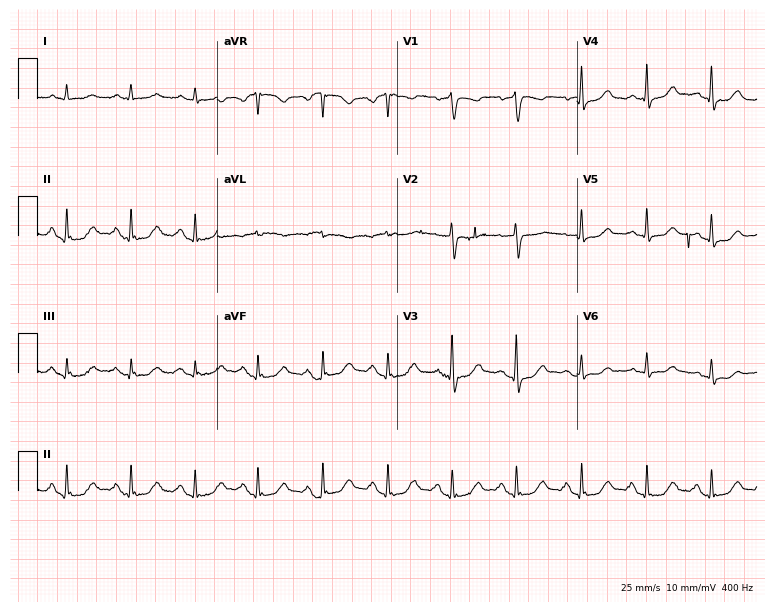
ECG (7.3-second recording at 400 Hz) — an 80-year-old female patient. Screened for six findings — first-degree AV block, right bundle branch block (RBBB), left bundle branch block (LBBB), sinus bradycardia, atrial fibrillation (AF), sinus tachycardia — none is recorded.